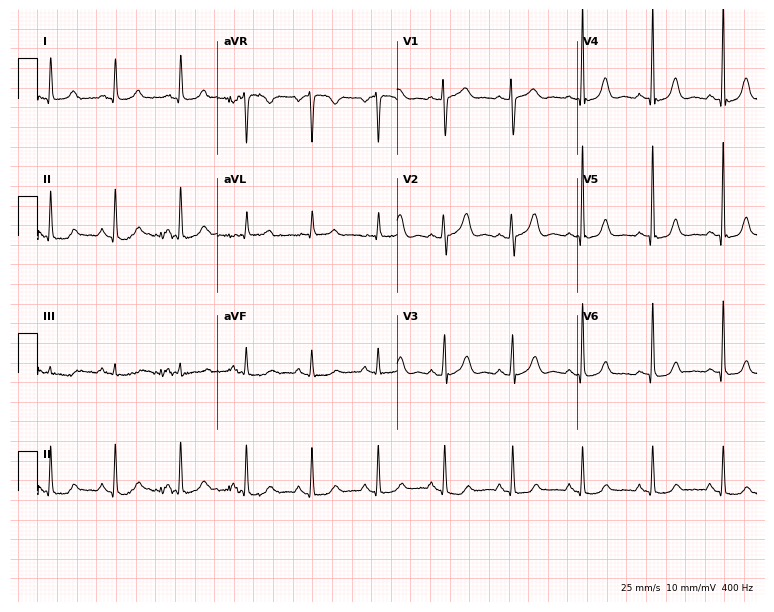
Resting 12-lead electrocardiogram. Patient: a 71-year-old woman. Read as a normal ECG.